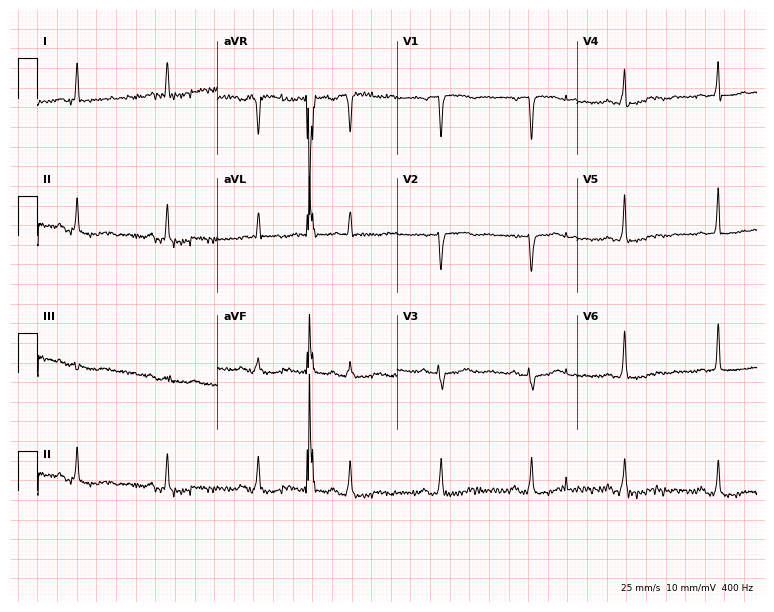
Resting 12-lead electrocardiogram (7.3-second recording at 400 Hz). Patient: a woman, 69 years old. None of these six findings is recorded: first-degree AV block, right bundle branch block, left bundle branch block, sinus bradycardia, atrial fibrillation, sinus tachycardia. Only these six findings were labelled.